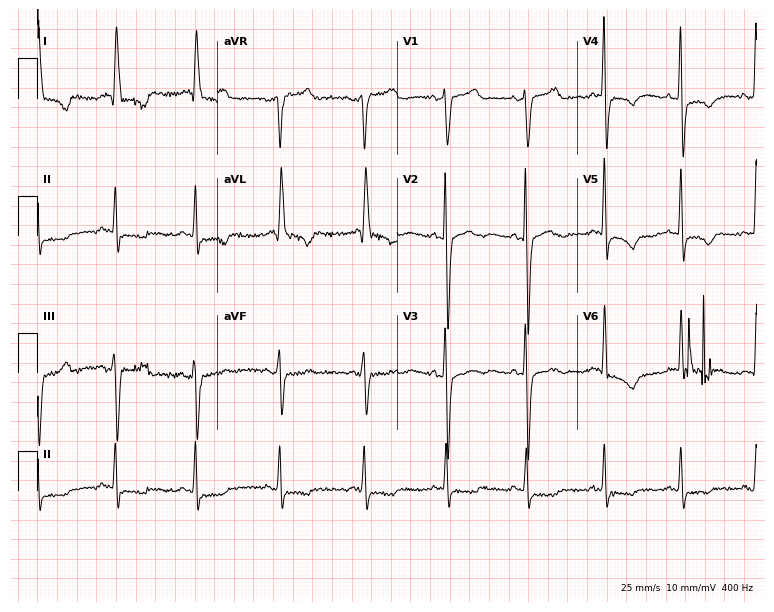
12-lead ECG from a 77-year-old woman. Screened for six findings — first-degree AV block, right bundle branch block, left bundle branch block, sinus bradycardia, atrial fibrillation, sinus tachycardia — none is recorded.